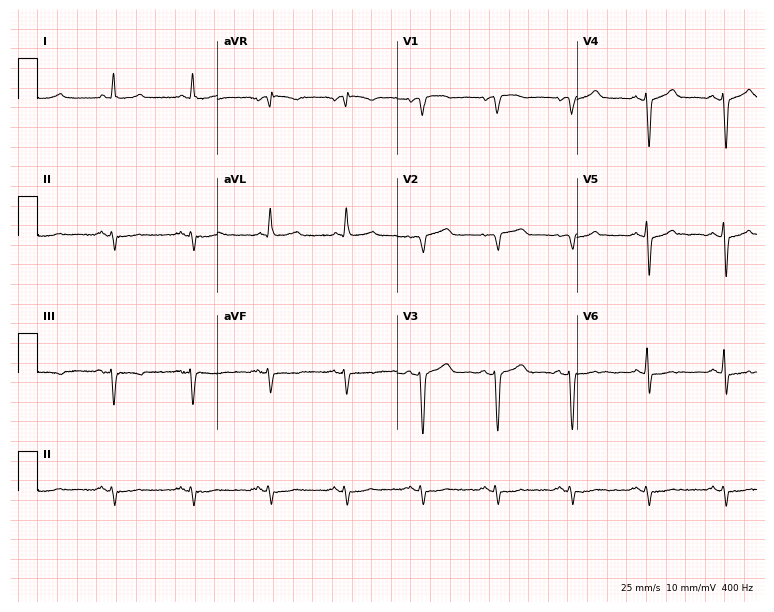
ECG (7.3-second recording at 400 Hz) — a male patient, 76 years old. Screened for six findings — first-degree AV block, right bundle branch block, left bundle branch block, sinus bradycardia, atrial fibrillation, sinus tachycardia — none is recorded.